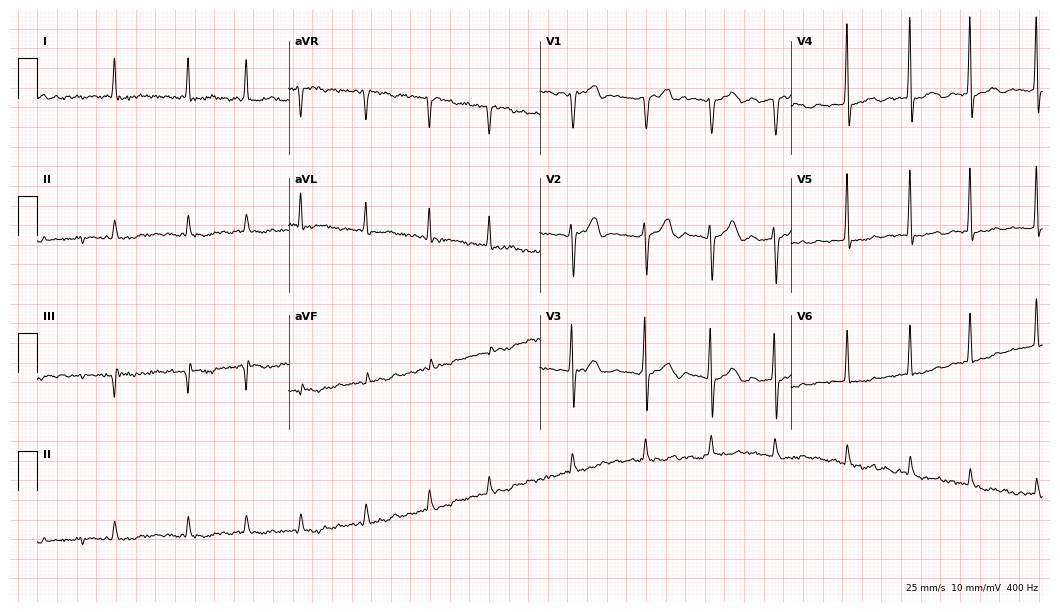
Standard 12-lead ECG recorded from a 68-year-old woman. The tracing shows atrial fibrillation.